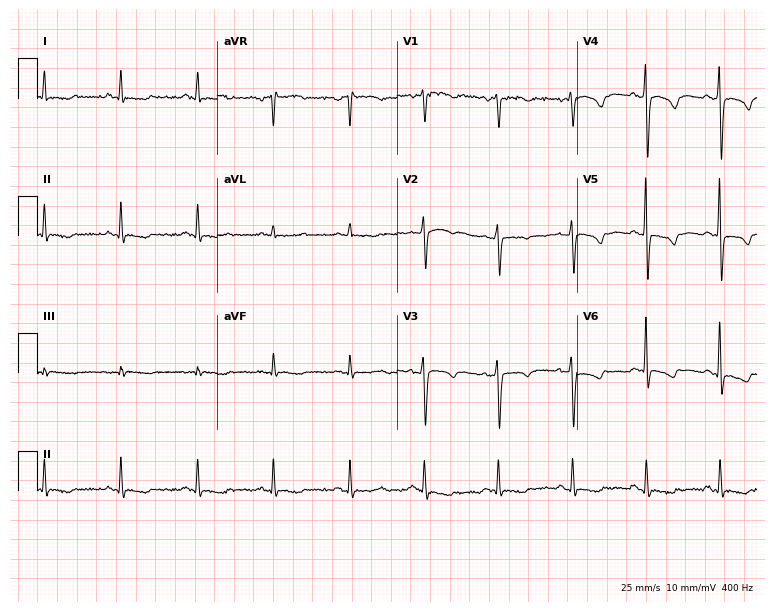
Electrocardiogram, a 52-year-old woman. Of the six screened findings (first-degree AV block, right bundle branch block (RBBB), left bundle branch block (LBBB), sinus bradycardia, atrial fibrillation (AF), sinus tachycardia), none is recorded. Other findings, if any, are not listed.